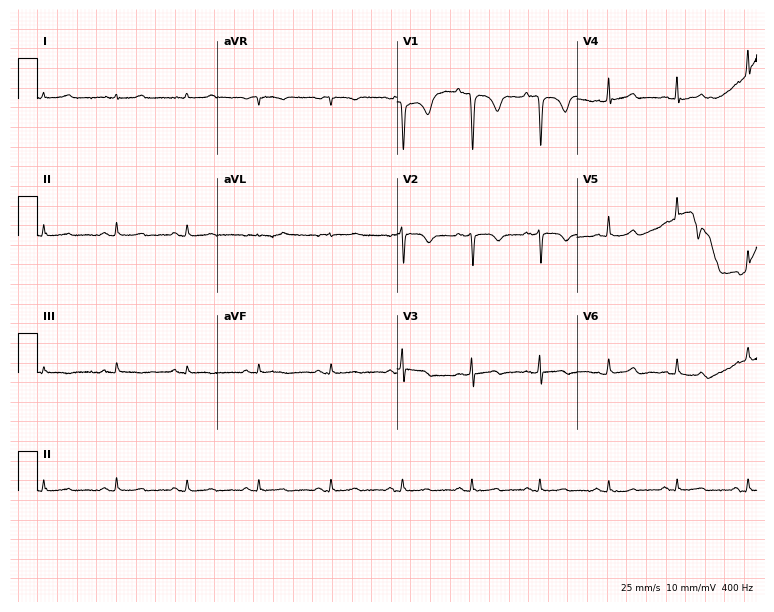
Electrocardiogram (7.3-second recording at 400 Hz), a female, 80 years old. Overall reading on record: normal ECG.